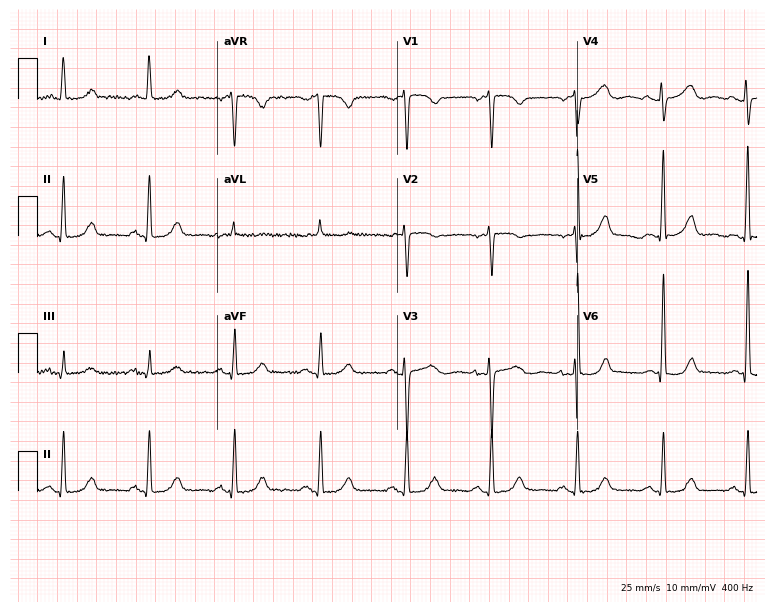
ECG — a 74-year-old woman. Screened for six findings — first-degree AV block, right bundle branch block (RBBB), left bundle branch block (LBBB), sinus bradycardia, atrial fibrillation (AF), sinus tachycardia — none is recorded.